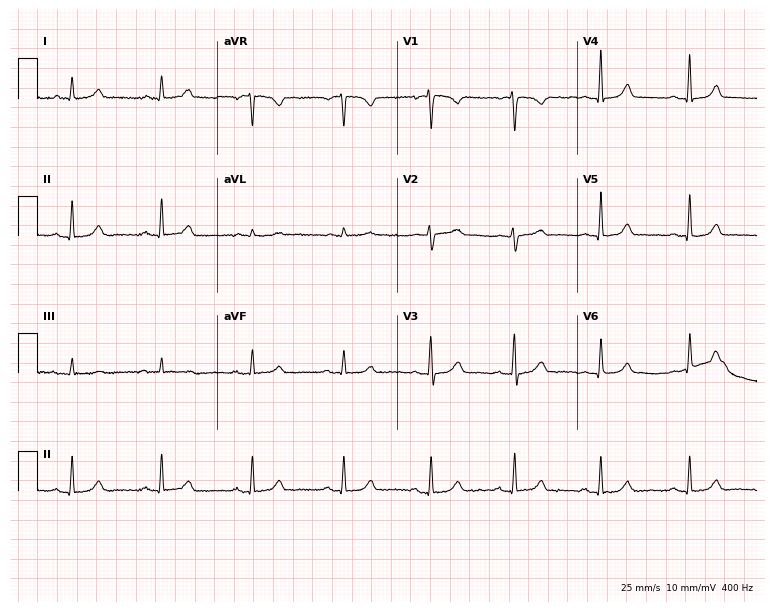
Standard 12-lead ECG recorded from a female, 43 years old (7.3-second recording at 400 Hz). Read as a normal ECG.